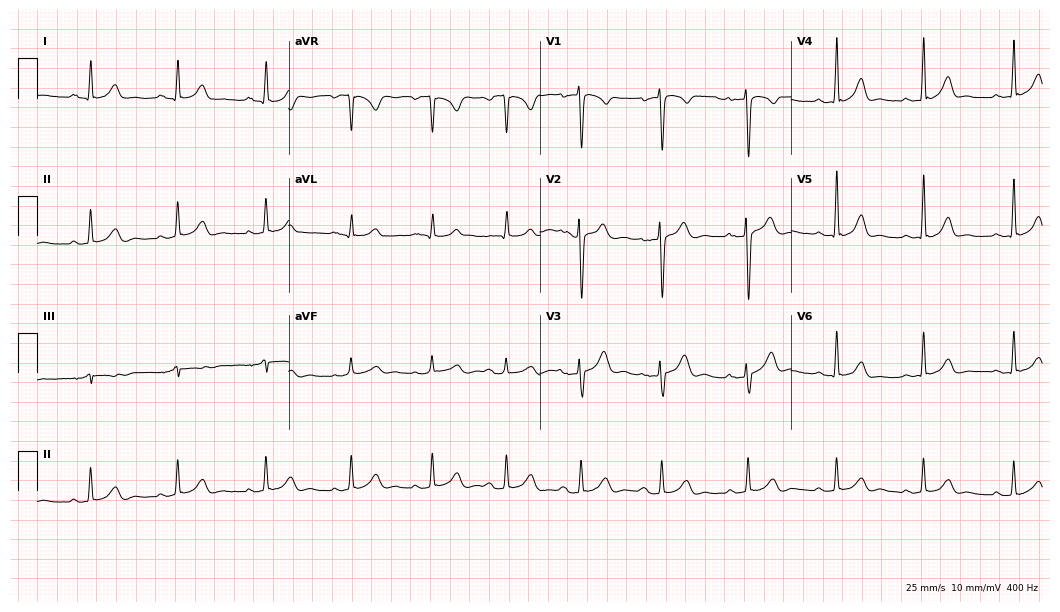
ECG (10.2-second recording at 400 Hz) — a 37-year-old man. Labelled as a normal ECG.